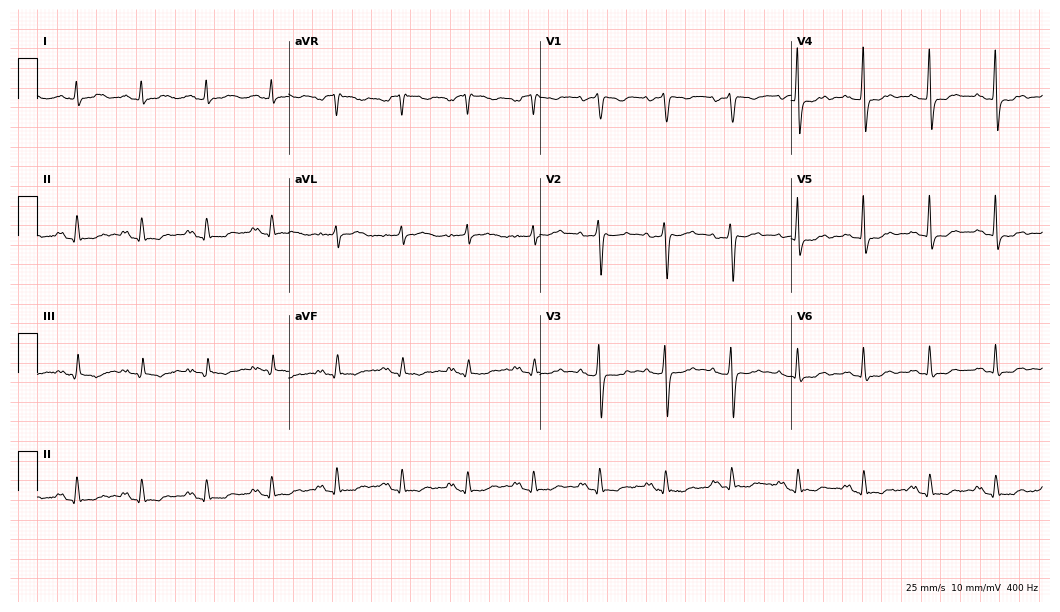
Standard 12-lead ECG recorded from a woman, 67 years old (10.2-second recording at 400 Hz). None of these six findings is recorded: first-degree AV block, right bundle branch block, left bundle branch block, sinus bradycardia, atrial fibrillation, sinus tachycardia. Other findings, if any, are not listed.